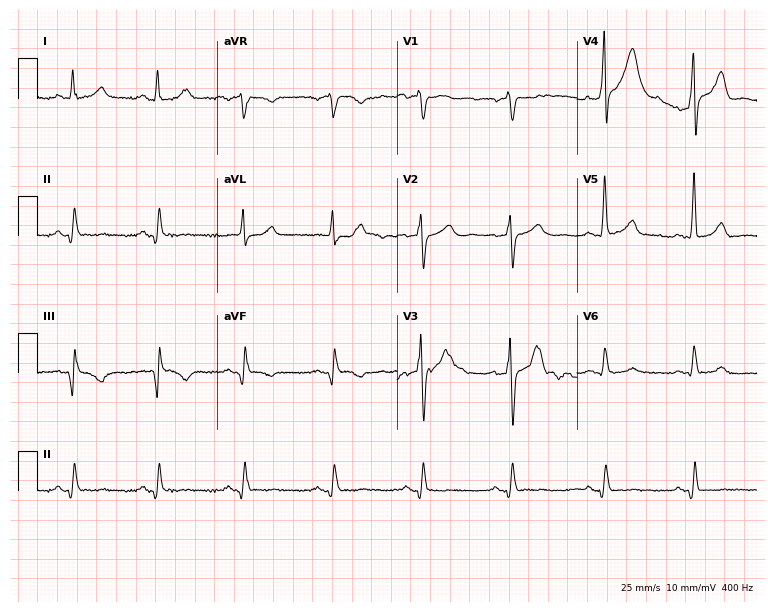
12-lead ECG from a man, 67 years old. Screened for six findings — first-degree AV block, right bundle branch block, left bundle branch block, sinus bradycardia, atrial fibrillation, sinus tachycardia — none is recorded.